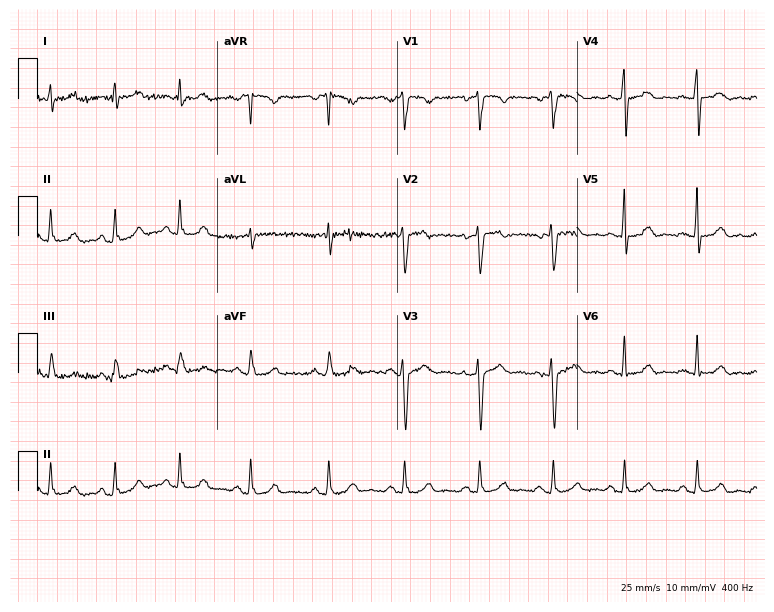
12-lead ECG from a 40-year-old female patient. Screened for six findings — first-degree AV block, right bundle branch block (RBBB), left bundle branch block (LBBB), sinus bradycardia, atrial fibrillation (AF), sinus tachycardia — none is recorded. Only these six findings were labelled.